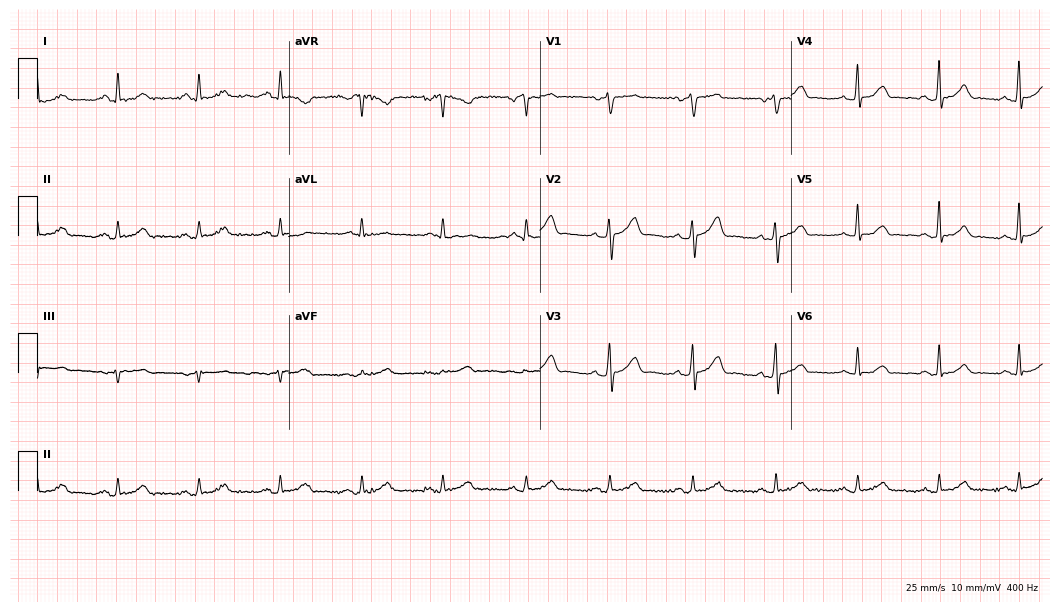
Standard 12-lead ECG recorded from a 63-year-old male (10.2-second recording at 400 Hz). Read as a normal ECG.